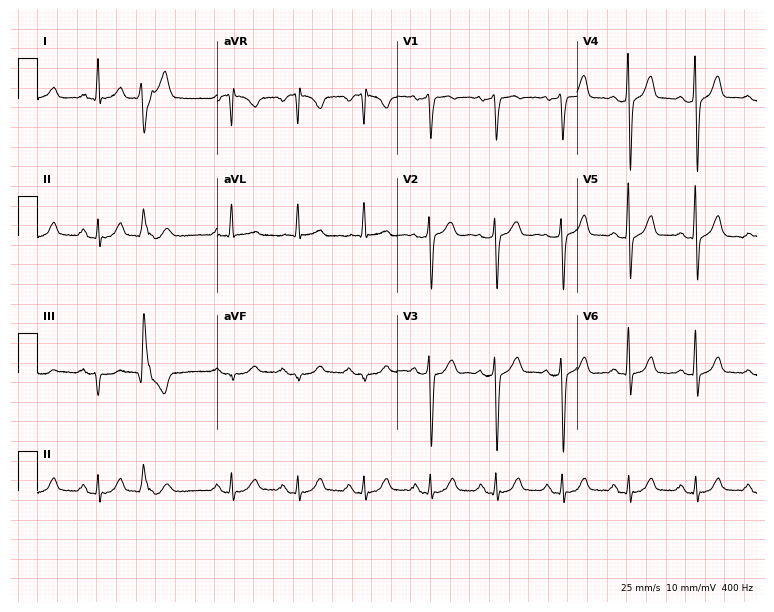
ECG (7.3-second recording at 400 Hz) — a male, 64 years old. Screened for six findings — first-degree AV block, right bundle branch block (RBBB), left bundle branch block (LBBB), sinus bradycardia, atrial fibrillation (AF), sinus tachycardia — none is recorded. Other findings, if any, are not listed.